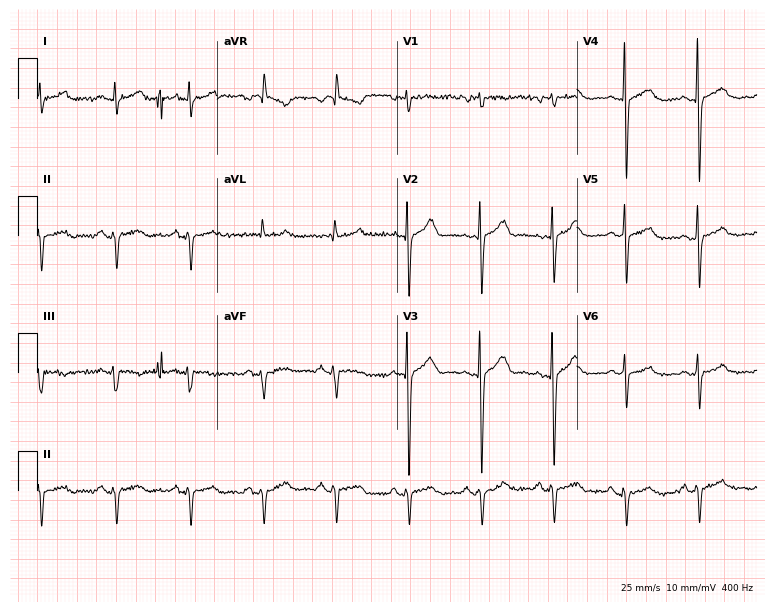
12-lead ECG (7.3-second recording at 400 Hz) from a male, 51 years old. Screened for six findings — first-degree AV block, right bundle branch block (RBBB), left bundle branch block (LBBB), sinus bradycardia, atrial fibrillation (AF), sinus tachycardia — none is recorded. Only these six findings were labelled.